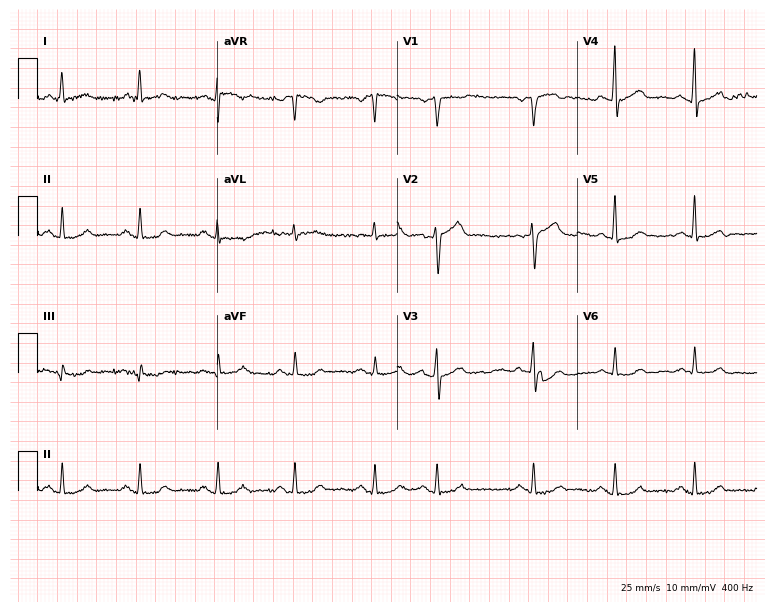
12-lead ECG from a 71-year-old male (7.3-second recording at 400 Hz). No first-degree AV block, right bundle branch block, left bundle branch block, sinus bradycardia, atrial fibrillation or sinus tachycardia recorded for this tracing.